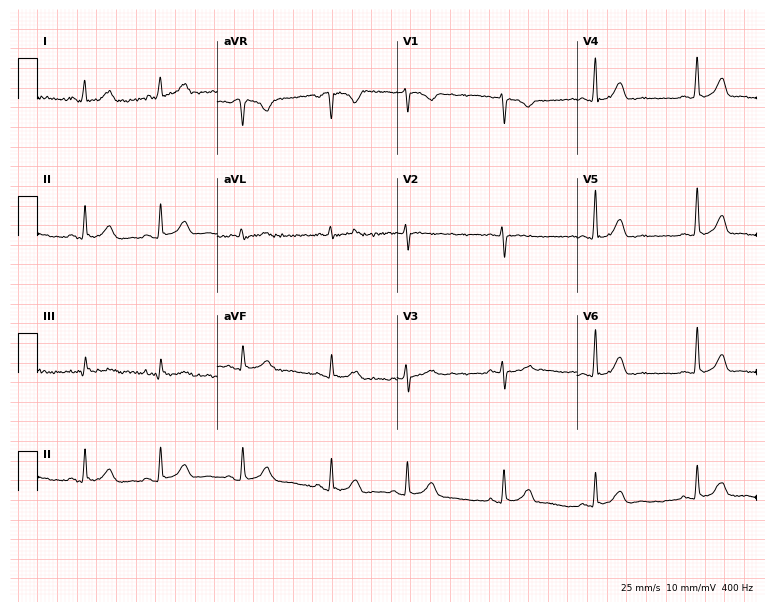
Standard 12-lead ECG recorded from a female, 47 years old (7.3-second recording at 400 Hz). None of these six findings is recorded: first-degree AV block, right bundle branch block (RBBB), left bundle branch block (LBBB), sinus bradycardia, atrial fibrillation (AF), sinus tachycardia.